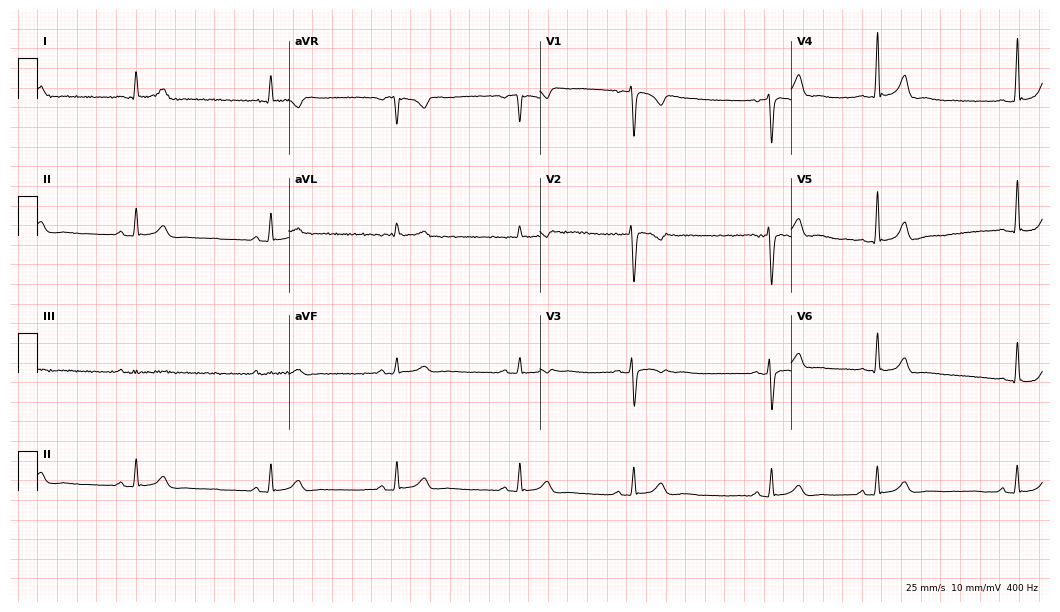
ECG (10.2-second recording at 400 Hz) — a 23-year-old female. Labelled as a normal ECG.